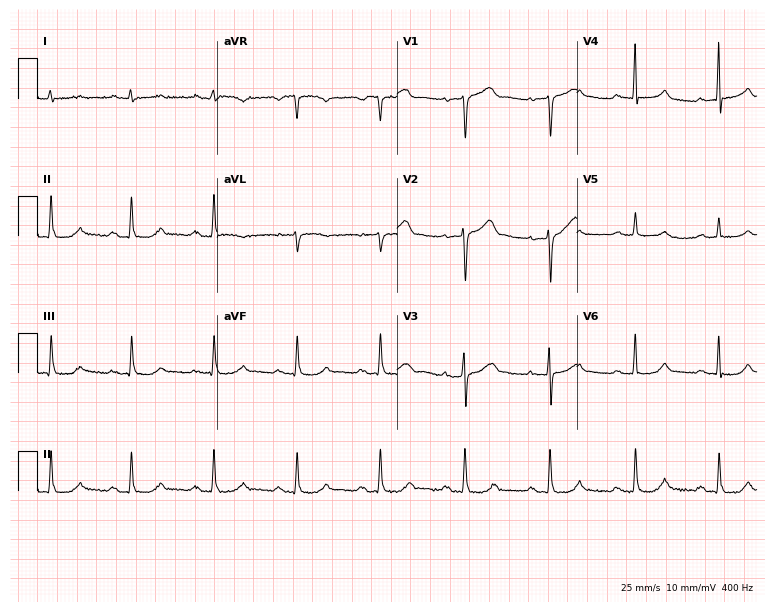
Standard 12-lead ECG recorded from a woman, 79 years old. None of these six findings is recorded: first-degree AV block, right bundle branch block (RBBB), left bundle branch block (LBBB), sinus bradycardia, atrial fibrillation (AF), sinus tachycardia. Findings outside these six are not listed.